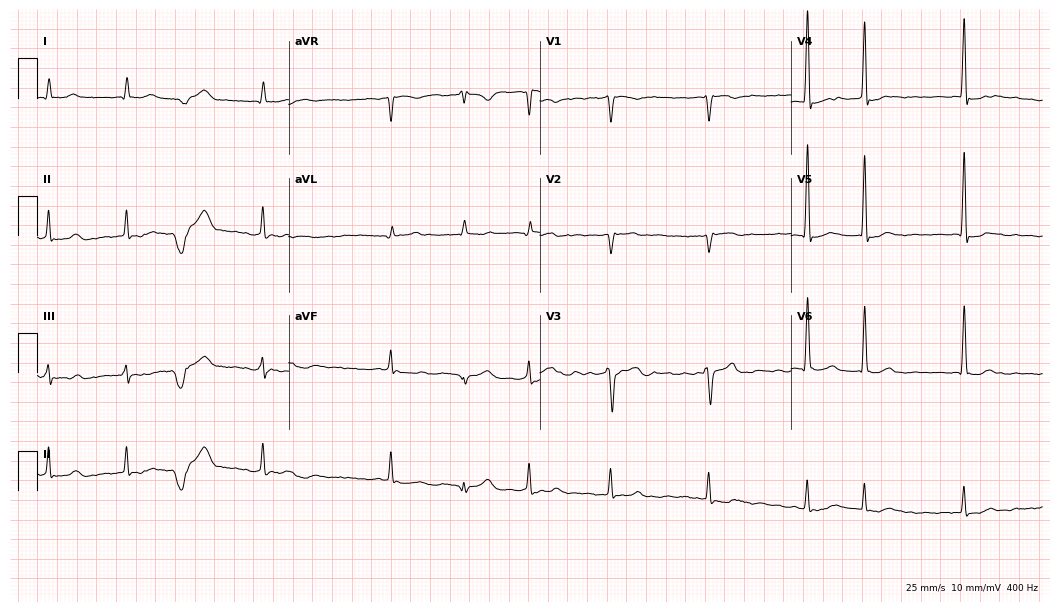
Electrocardiogram, an 81-year-old male. Interpretation includes atrial fibrillation.